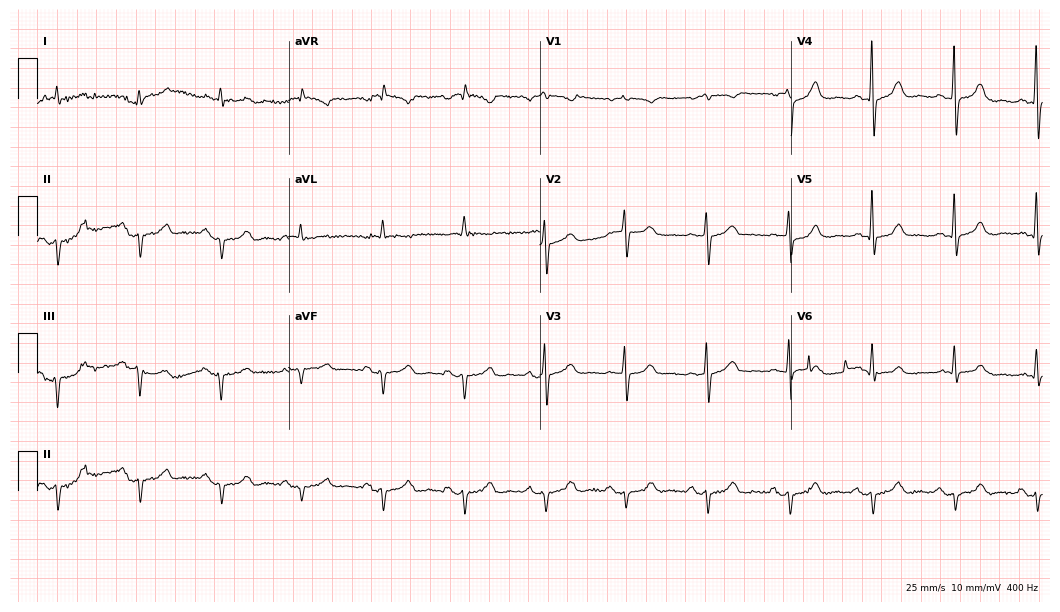
12-lead ECG from an 84-year-old male (10.2-second recording at 400 Hz). No first-degree AV block, right bundle branch block, left bundle branch block, sinus bradycardia, atrial fibrillation or sinus tachycardia recorded for this tracing. Other findings, if any, are not listed.